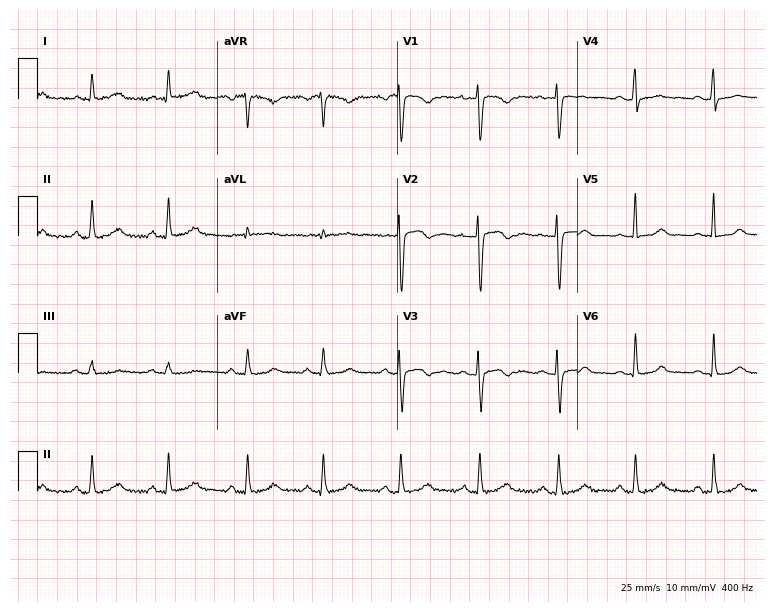
Resting 12-lead electrocardiogram (7.3-second recording at 400 Hz). Patient: a 38-year-old woman. None of these six findings is recorded: first-degree AV block, right bundle branch block (RBBB), left bundle branch block (LBBB), sinus bradycardia, atrial fibrillation (AF), sinus tachycardia.